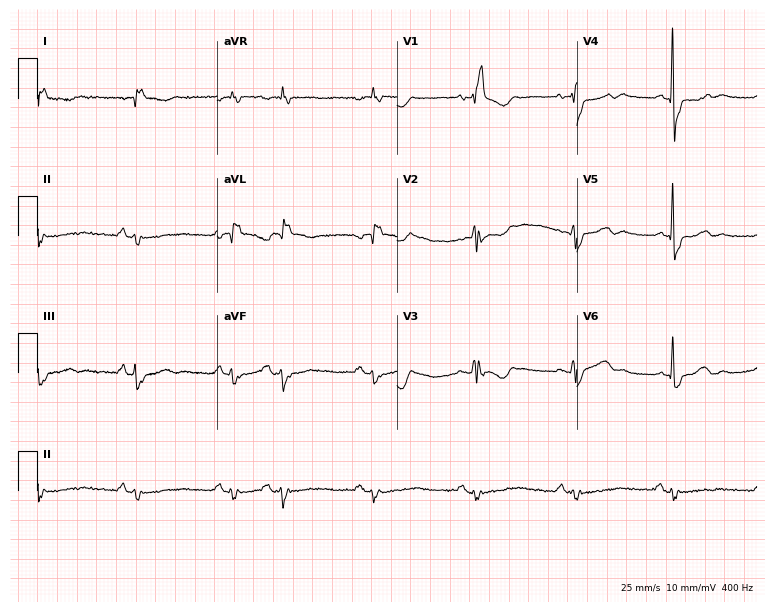
Electrocardiogram (7.3-second recording at 400 Hz), a 74-year-old female. Interpretation includes right bundle branch block (RBBB).